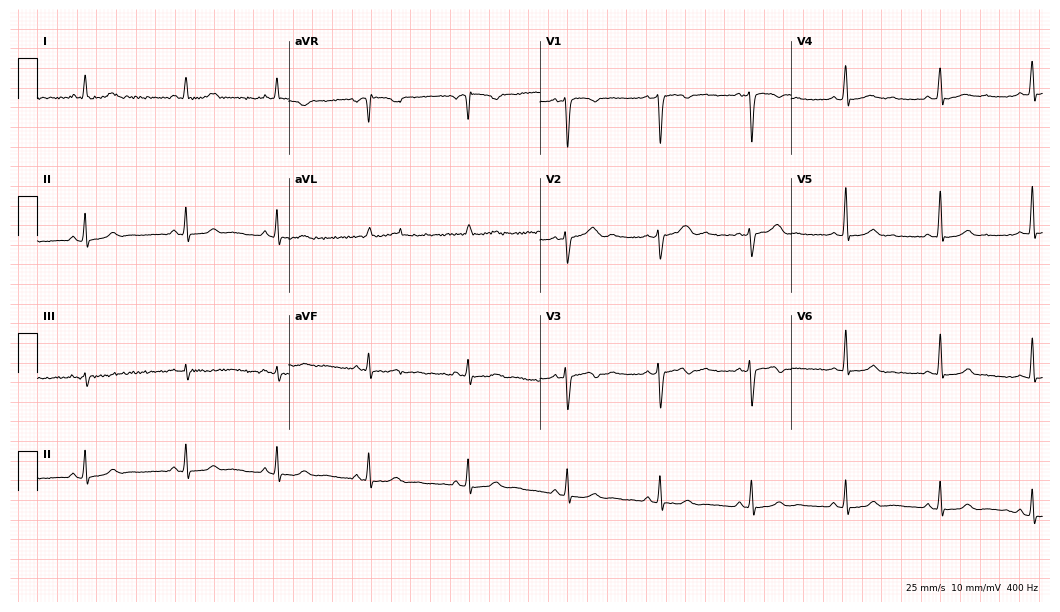
12-lead ECG from a woman, 22 years old (10.2-second recording at 400 Hz). No first-degree AV block, right bundle branch block, left bundle branch block, sinus bradycardia, atrial fibrillation or sinus tachycardia recorded for this tracing.